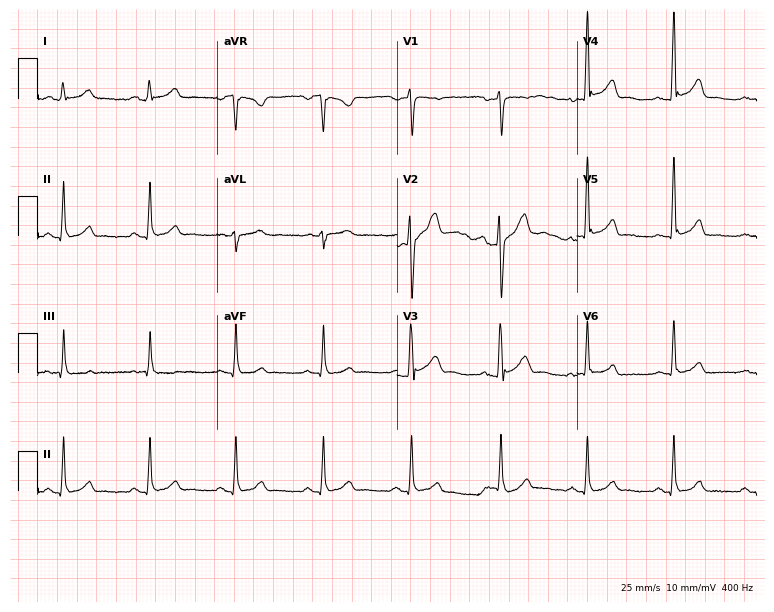
12-lead ECG from a male patient, 41 years old. Recorded interpretation: within normal limits.